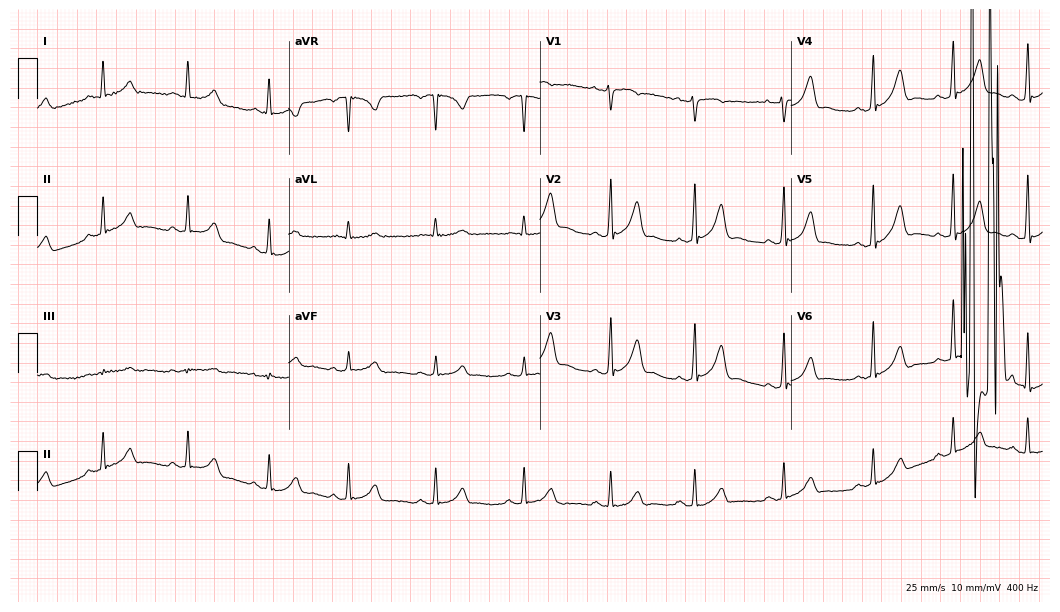
Resting 12-lead electrocardiogram. Patient: a female, 34 years old. Read as a normal ECG.